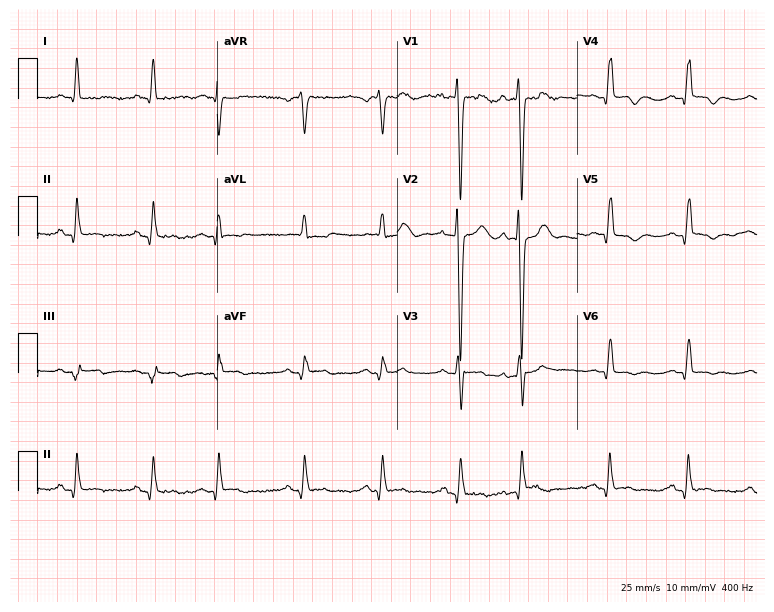
12-lead ECG (7.3-second recording at 400 Hz) from an 82-year-old male. Screened for six findings — first-degree AV block, right bundle branch block, left bundle branch block, sinus bradycardia, atrial fibrillation, sinus tachycardia — none is recorded.